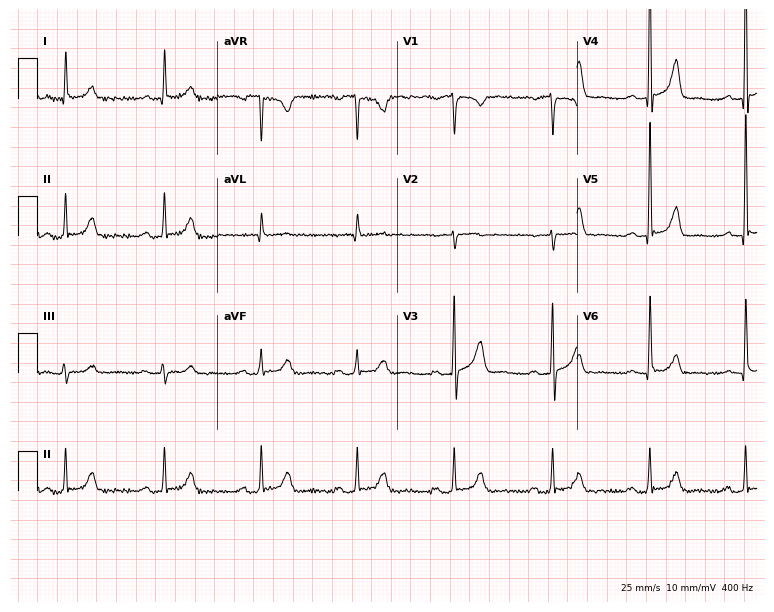
Electrocardiogram (7.3-second recording at 400 Hz), a 68-year-old male. Overall reading on record: normal ECG.